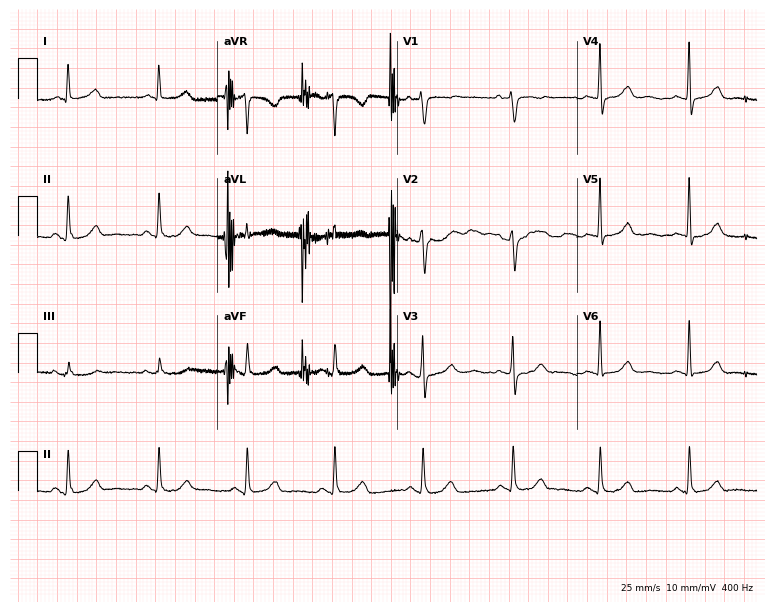
12-lead ECG from a female, 57 years old. No first-degree AV block, right bundle branch block, left bundle branch block, sinus bradycardia, atrial fibrillation or sinus tachycardia recorded for this tracing.